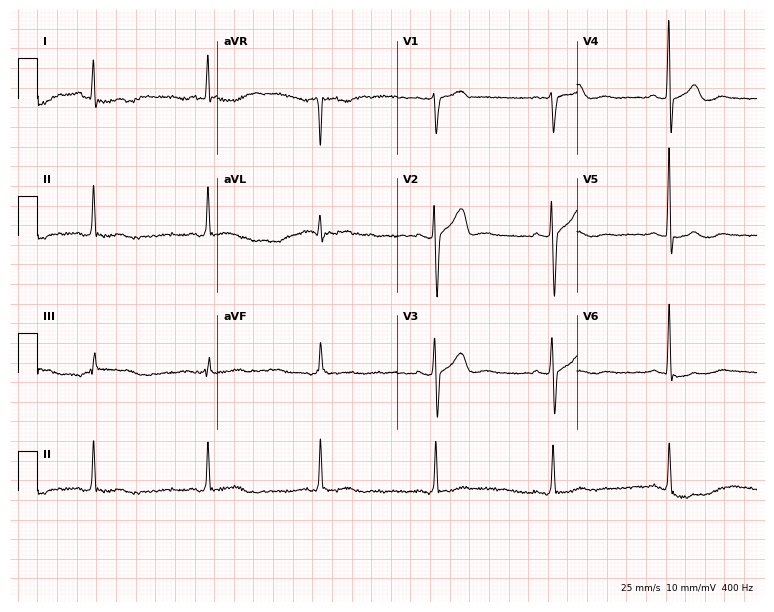
Electrocardiogram, a 59-year-old male. Of the six screened findings (first-degree AV block, right bundle branch block, left bundle branch block, sinus bradycardia, atrial fibrillation, sinus tachycardia), none is recorded. Findings outside these six are not listed.